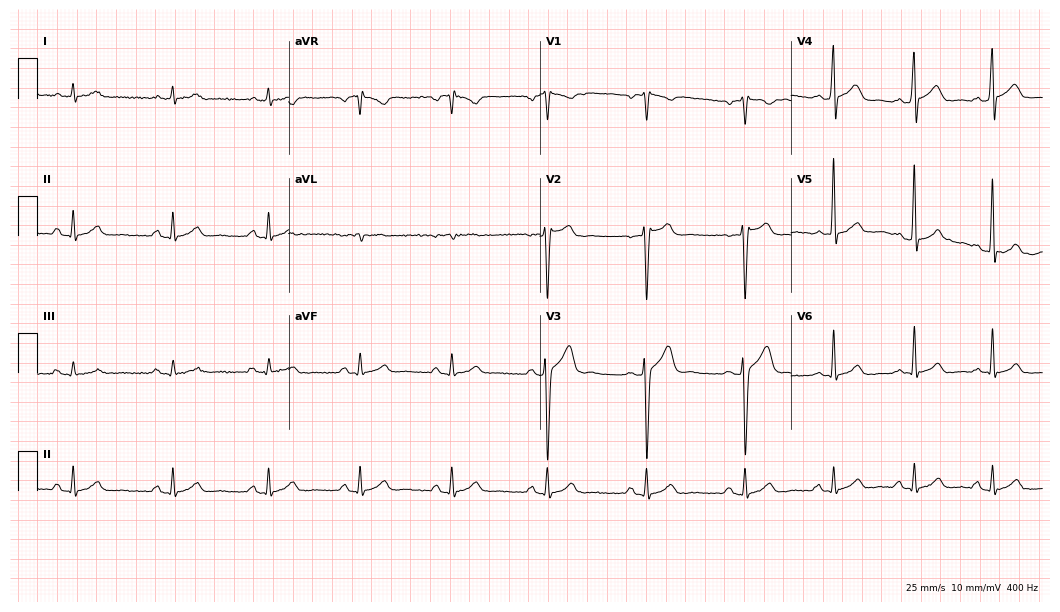
Standard 12-lead ECG recorded from a man, 36 years old. Read as a normal ECG.